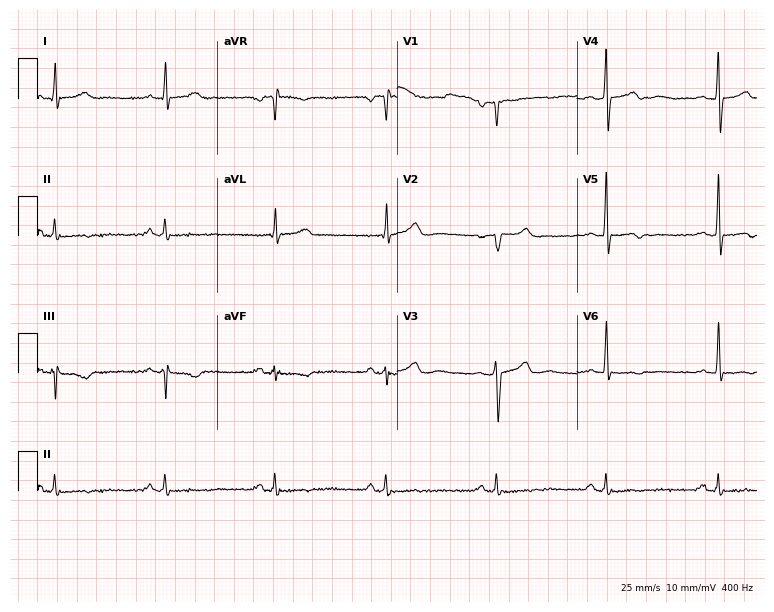
Standard 12-lead ECG recorded from a 52-year-old man. None of these six findings is recorded: first-degree AV block, right bundle branch block, left bundle branch block, sinus bradycardia, atrial fibrillation, sinus tachycardia. Other findings, if any, are not listed.